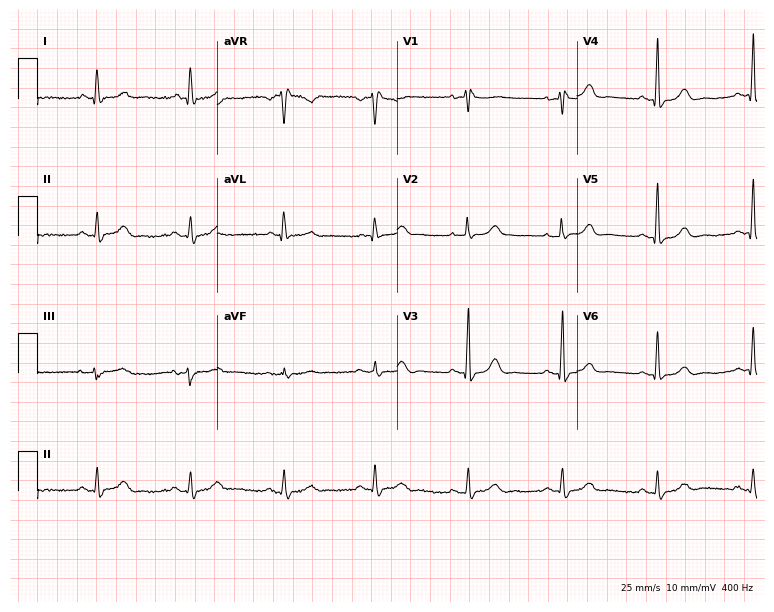
Electrocardiogram, a female, 68 years old. Of the six screened findings (first-degree AV block, right bundle branch block, left bundle branch block, sinus bradycardia, atrial fibrillation, sinus tachycardia), none is recorded. Other findings, if any, are not listed.